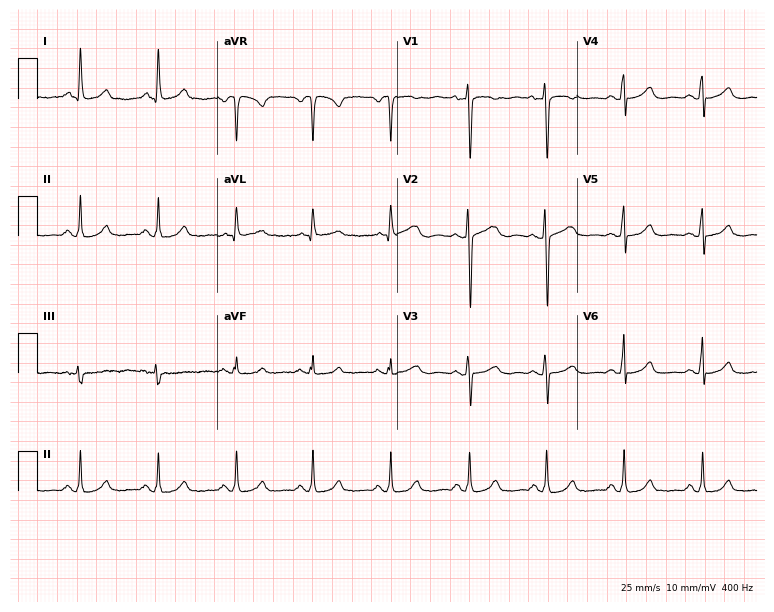
12-lead ECG from a 53-year-old female patient. Labelled as a normal ECG.